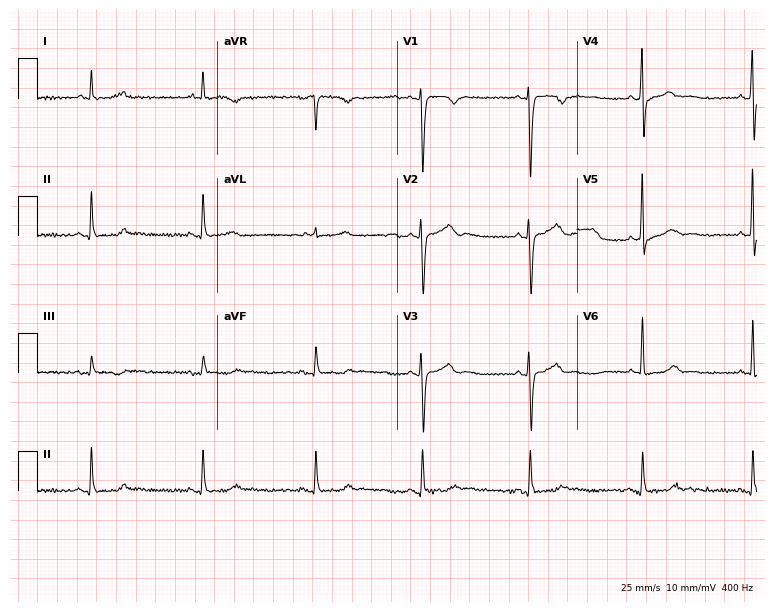
Electrocardiogram (7.3-second recording at 400 Hz), a 44-year-old female patient. Of the six screened findings (first-degree AV block, right bundle branch block (RBBB), left bundle branch block (LBBB), sinus bradycardia, atrial fibrillation (AF), sinus tachycardia), none is recorded.